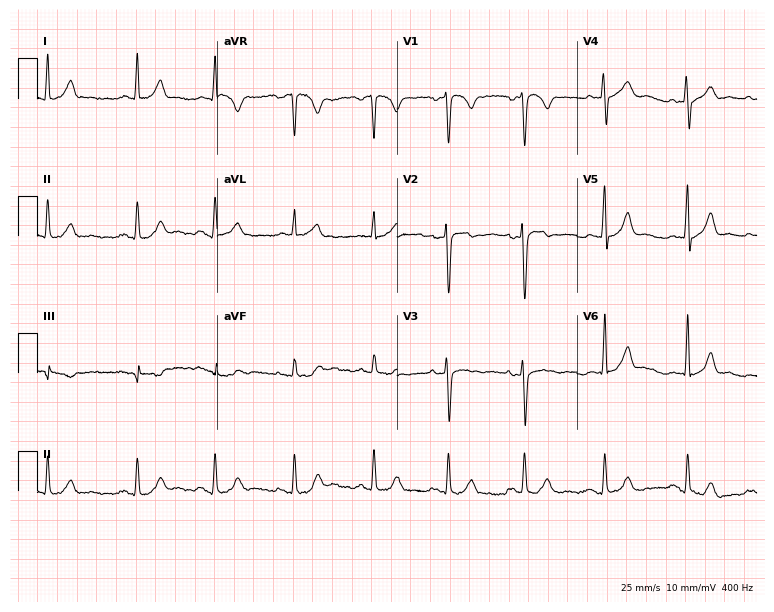
Standard 12-lead ECG recorded from a male patient, 37 years old (7.3-second recording at 400 Hz). Read as a normal ECG.